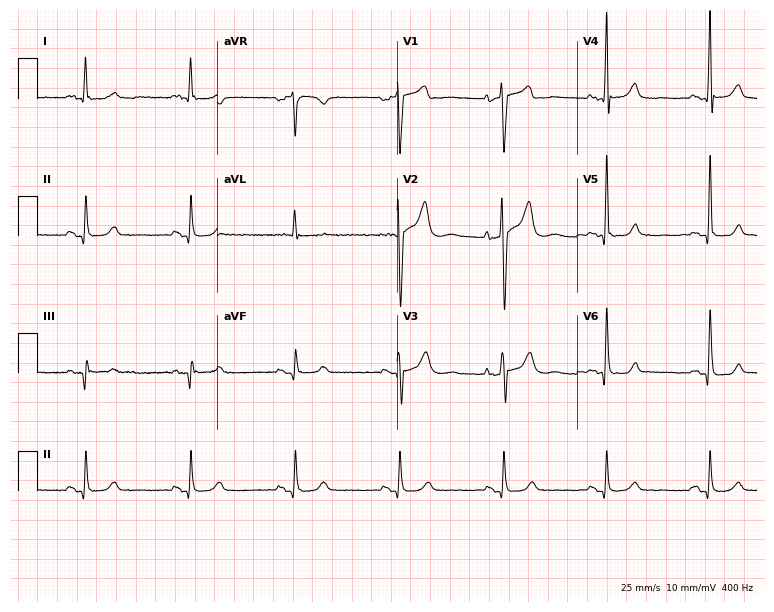
Resting 12-lead electrocardiogram (7.3-second recording at 400 Hz). Patient: a 48-year-old male. Read as a normal ECG.